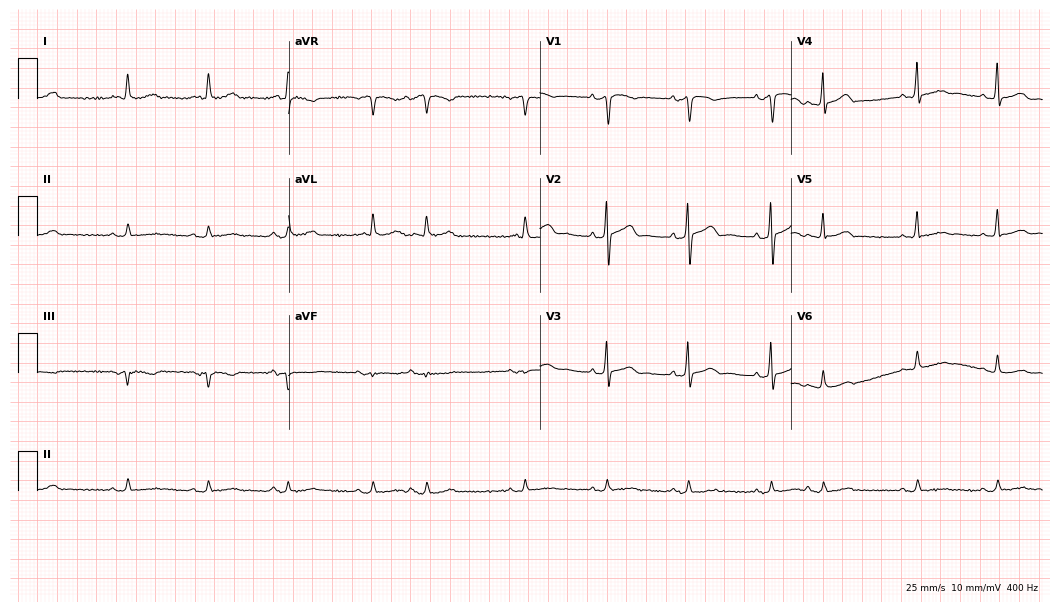
12-lead ECG (10.2-second recording at 400 Hz) from a male patient, 70 years old. Labelled as a normal ECG.